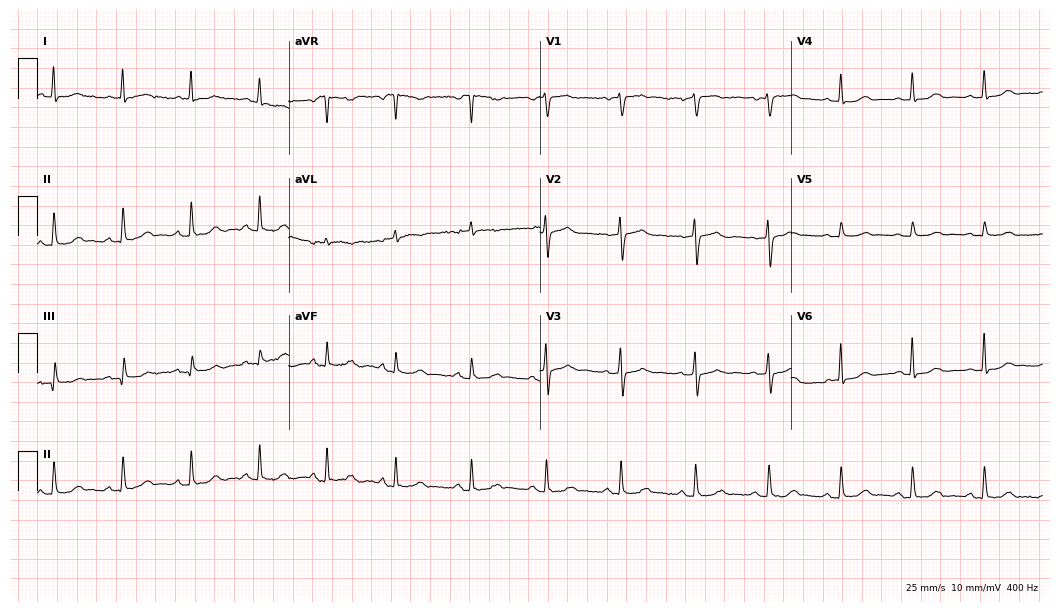
Standard 12-lead ECG recorded from a 63-year-old female. Read as a normal ECG.